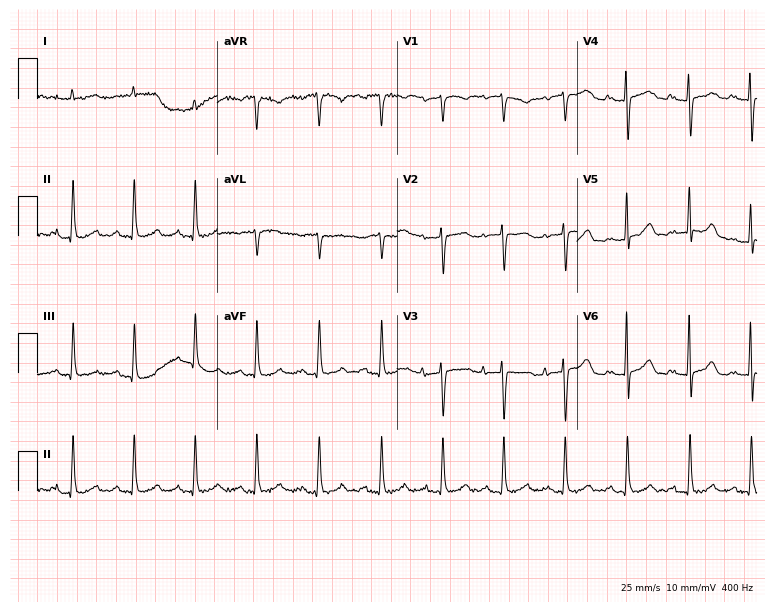
ECG — a 79-year-old female. Labelled as a normal ECG.